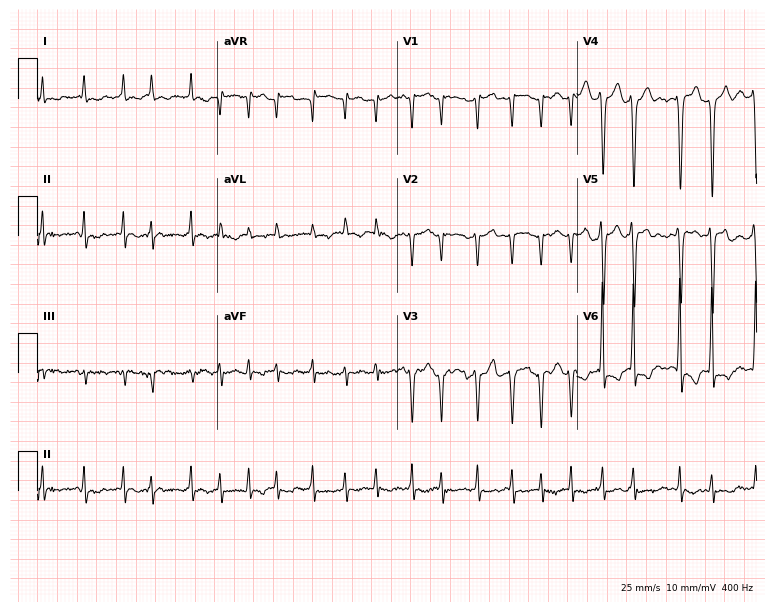
Resting 12-lead electrocardiogram (7.3-second recording at 400 Hz). Patient: a 57-year-old female. The tracing shows atrial fibrillation.